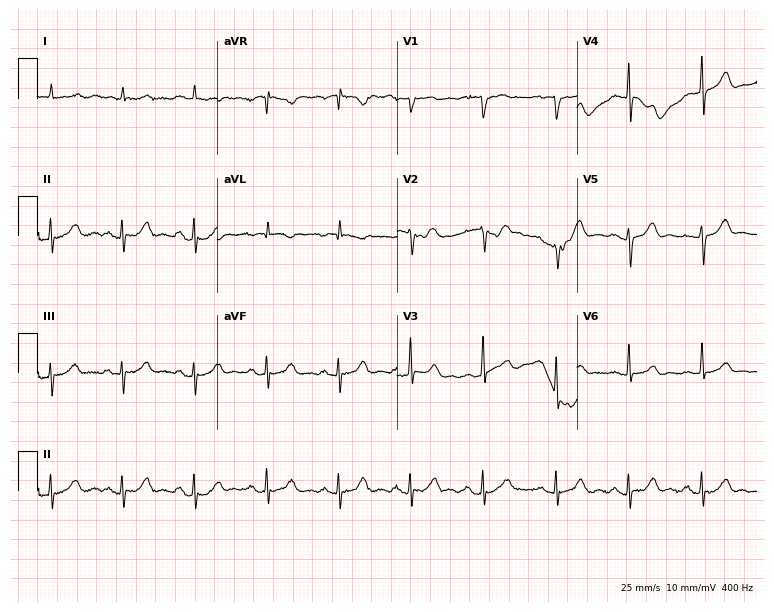
Resting 12-lead electrocardiogram (7.3-second recording at 400 Hz). Patient: a male, 85 years old. None of these six findings is recorded: first-degree AV block, right bundle branch block, left bundle branch block, sinus bradycardia, atrial fibrillation, sinus tachycardia. Other findings, if any, are not listed.